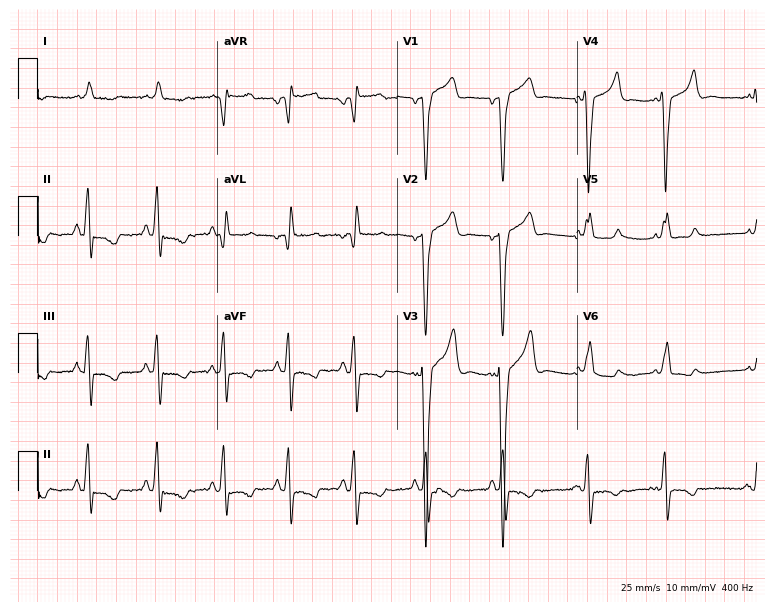
12-lead ECG from a male, 79 years old. Screened for six findings — first-degree AV block, right bundle branch block, left bundle branch block, sinus bradycardia, atrial fibrillation, sinus tachycardia — none is recorded. Only these six findings were labelled.